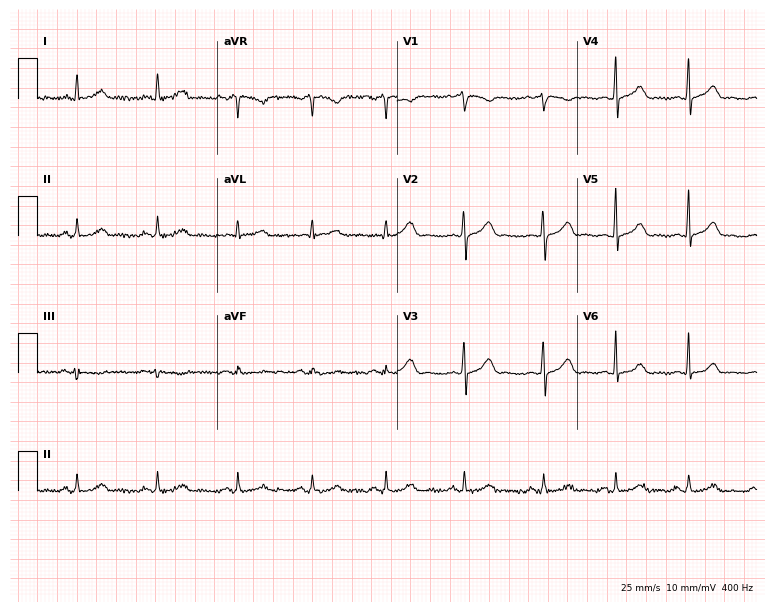
Electrocardiogram, a 23-year-old female patient. Of the six screened findings (first-degree AV block, right bundle branch block, left bundle branch block, sinus bradycardia, atrial fibrillation, sinus tachycardia), none is recorded. Other findings, if any, are not listed.